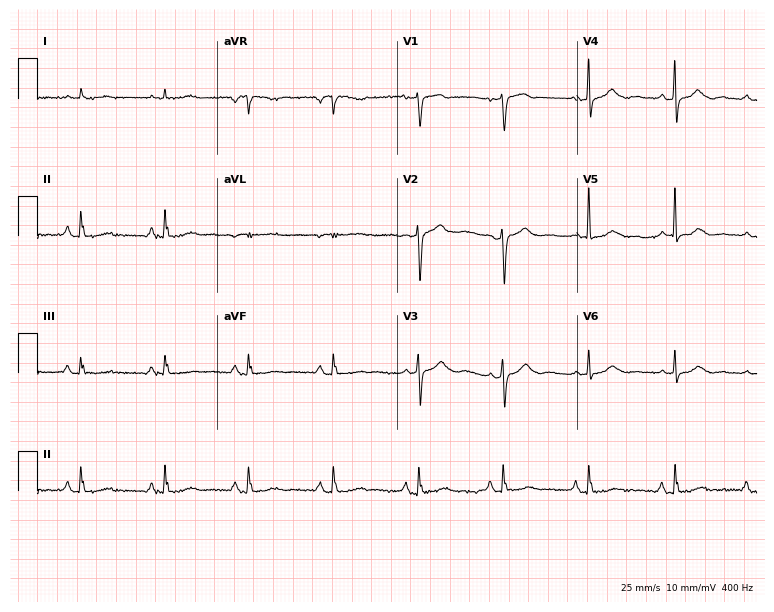
12-lead ECG from a woman, 61 years old (7.3-second recording at 400 Hz). No first-degree AV block, right bundle branch block (RBBB), left bundle branch block (LBBB), sinus bradycardia, atrial fibrillation (AF) or sinus tachycardia recorded for this tracing. Only these six findings were labelled.